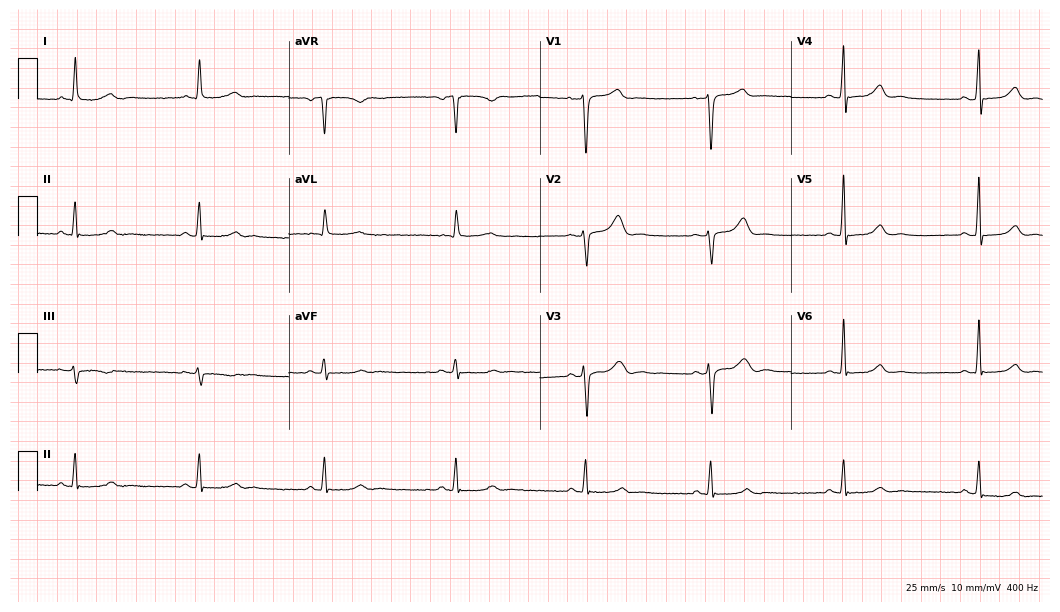
Resting 12-lead electrocardiogram (10.2-second recording at 400 Hz). Patient: a female, 58 years old. The tracing shows sinus bradycardia (a sinus rate of 50 beats per minute or less).